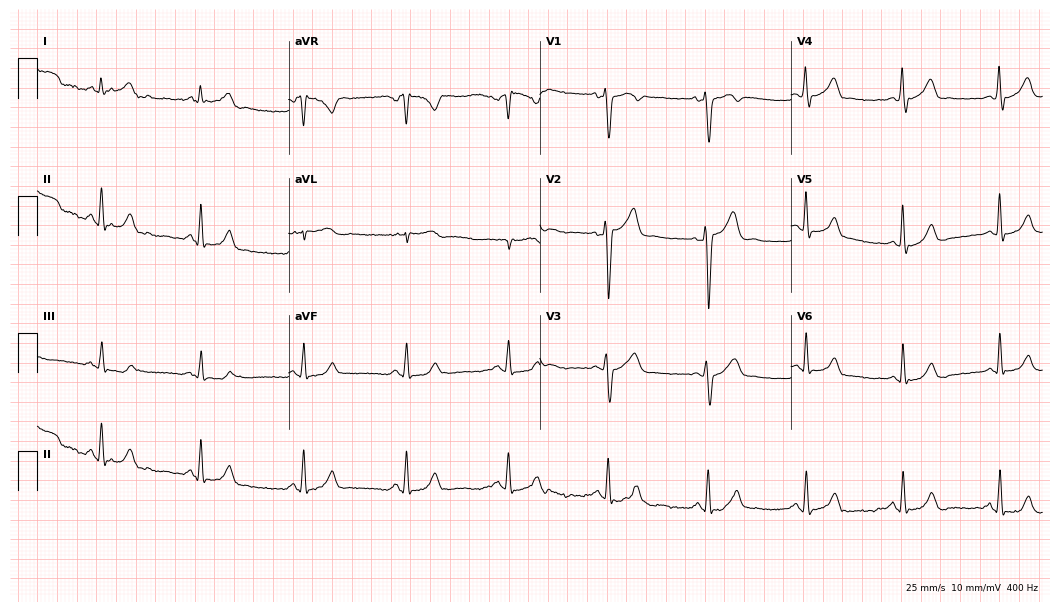
ECG (10.2-second recording at 400 Hz) — a 41-year-old male. Labelled as a normal ECG.